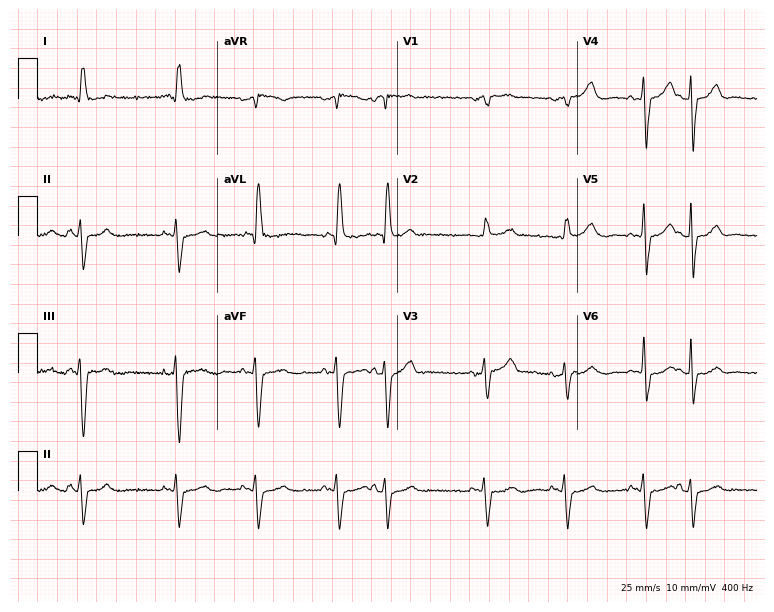
12-lead ECG from a male patient, 74 years old. No first-degree AV block, right bundle branch block, left bundle branch block, sinus bradycardia, atrial fibrillation or sinus tachycardia recorded for this tracing.